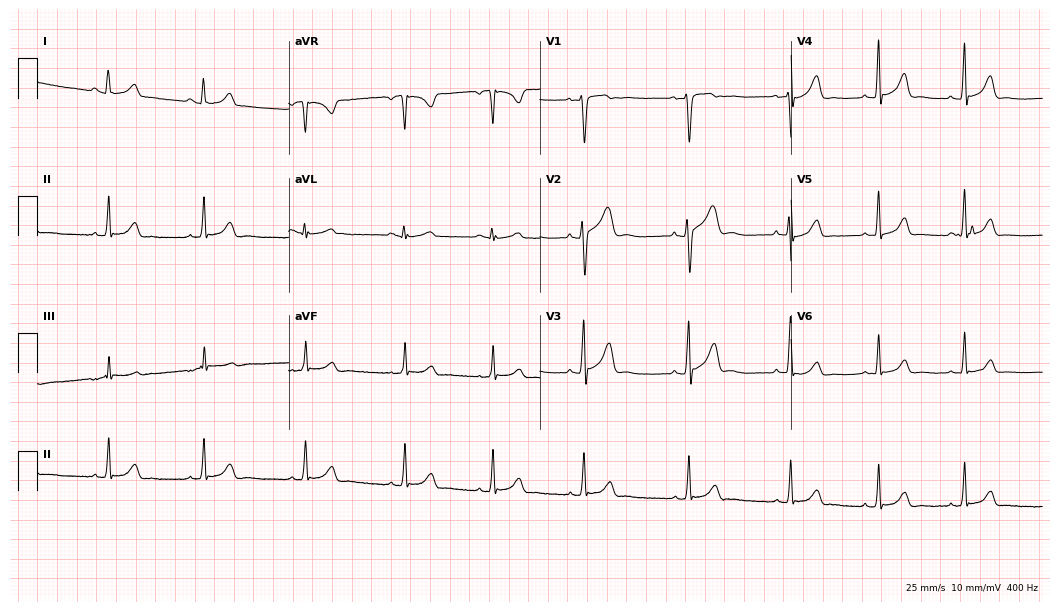
Standard 12-lead ECG recorded from a 19-year-old female. None of these six findings is recorded: first-degree AV block, right bundle branch block, left bundle branch block, sinus bradycardia, atrial fibrillation, sinus tachycardia.